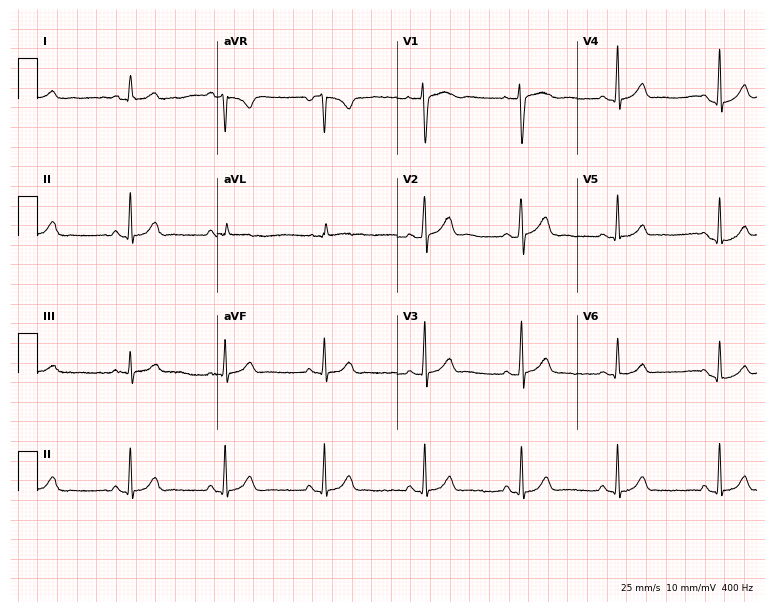
Resting 12-lead electrocardiogram (7.3-second recording at 400 Hz). Patient: a female, 18 years old. Read as a normal ECG.